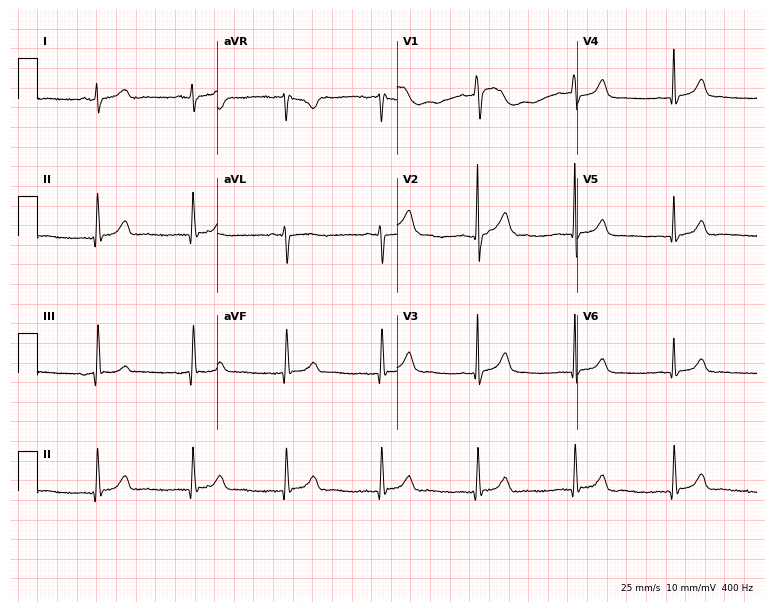
Standard 12-lead ECG recorded from a 34-year-old male. Read as a normal ECG.